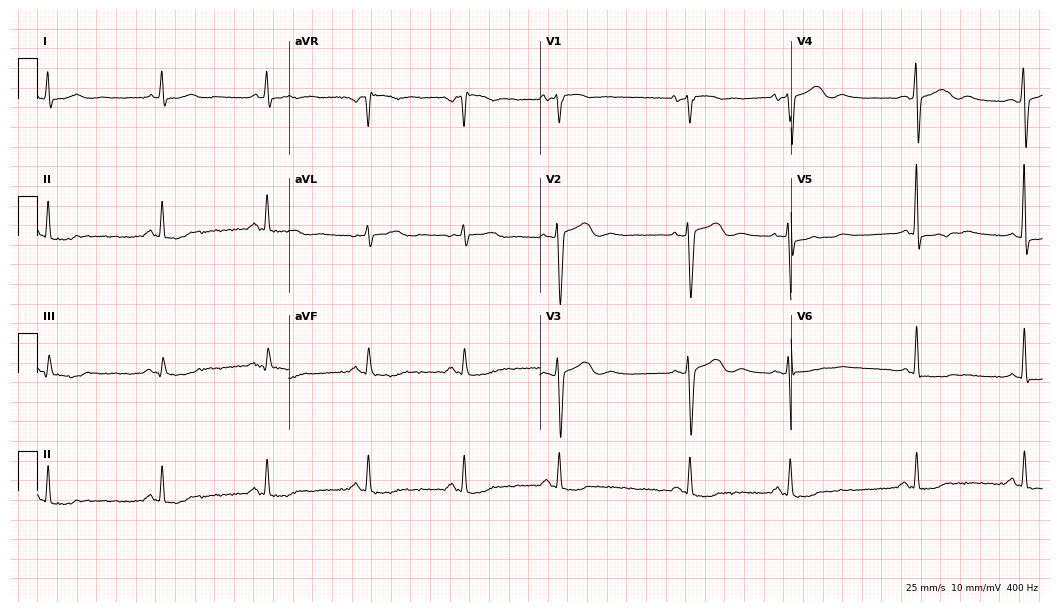
ECG (10.2-second recording at 400 Hz) — a 66-year-old female. Screened for six findings — first-degree AV block, right bundle branch block, left bundle branch block, sinus bradycardia, atrial fibrillation, sinus tachycardia — none is recorded.